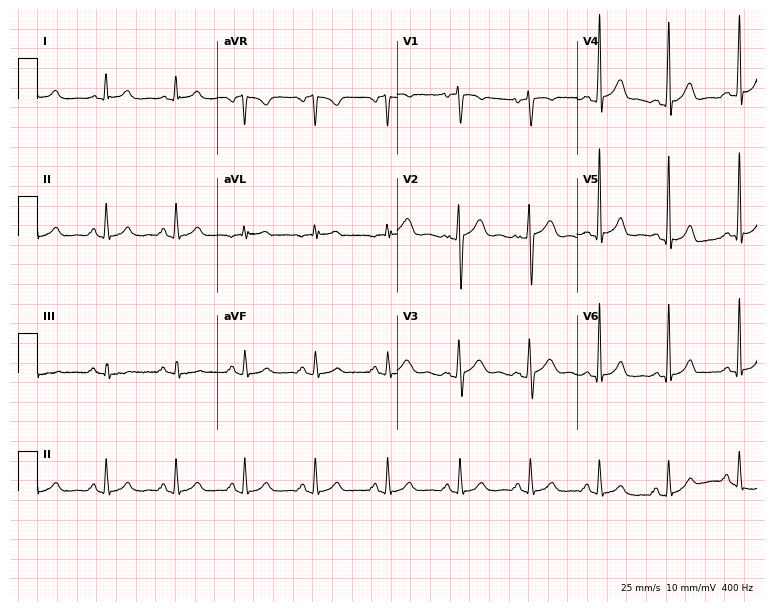
Electrocardiogram, a 34-year-old male. Overall reading on record: normal ECG.